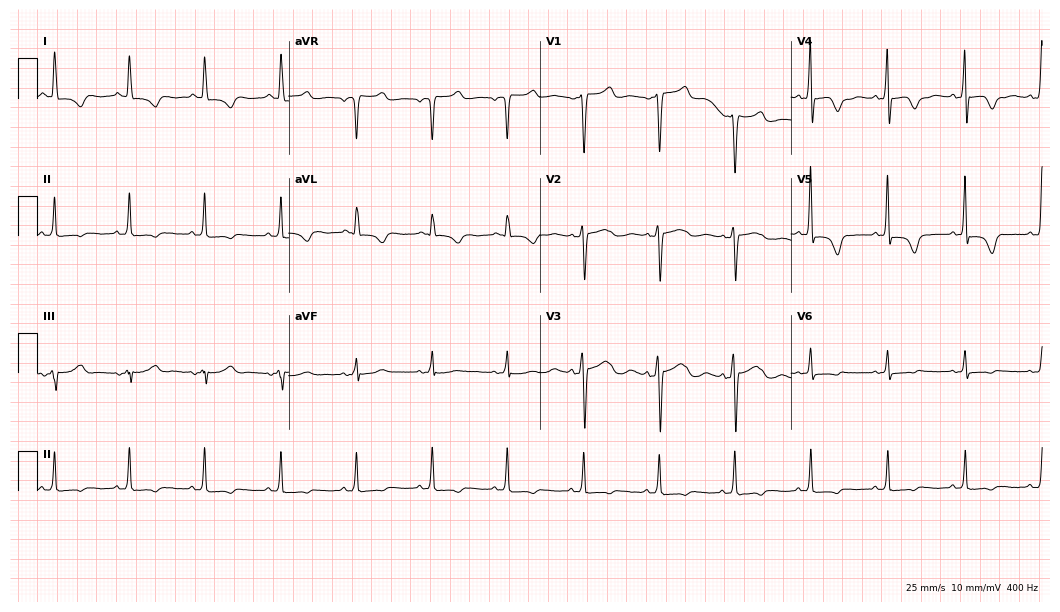
ECG — a 54-year-old female. Screened for six findings — first-degree AV block, right bundle branch block, left bundle branch block, sinus bradycardia, atrial fibrillation, sinus tachycardia — none is recorded. Only these six findings were labelled.